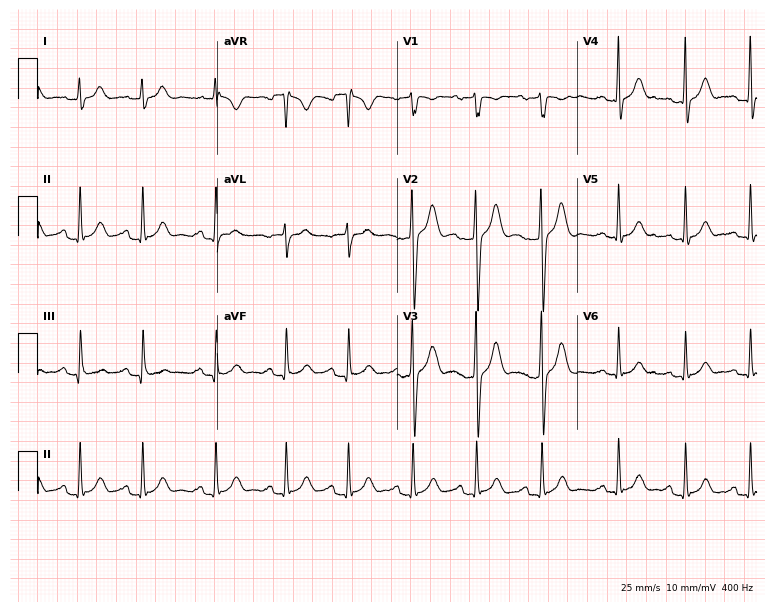
12-lead ECG from a 21-year-old man (7.3-second recording at 400 Hz). Recorded interpretation: within normal limits.